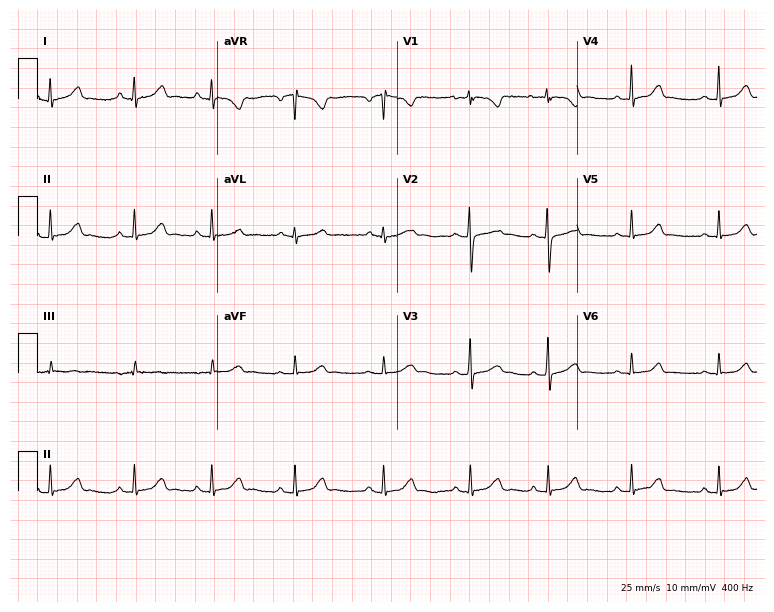
12-lead ECG (7.3-second recording at 400 Hz) from a female patient, 18 years old. Labelled as a normal ECG.